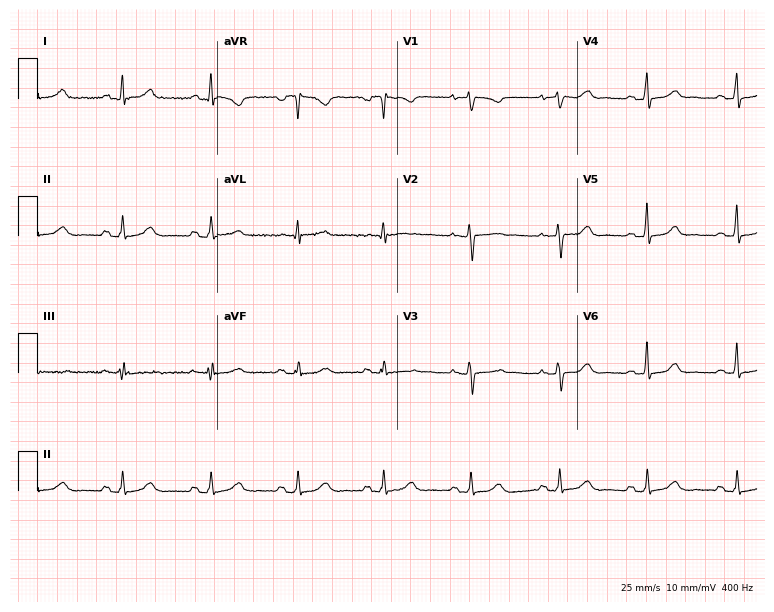
12-lead ECG from a female patient, 47 years old. Labelled as a normal ECG.